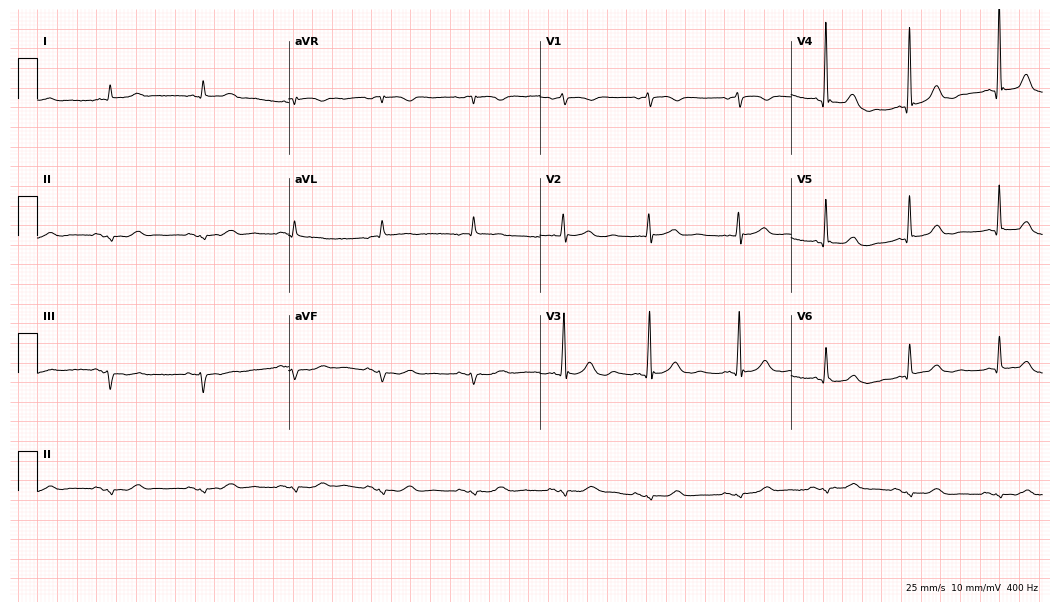
12-lead ECG (10.2-second recording at 400 Hz) from a man, 75 years old. Screened for six findings — first-degree AV block, right bundle branch block (RBBB), left bundle branch block (LBBB), sinus bradycardia, atrial fibrillation (AF), sinus tachycardia — none is recorded. Only these six findings were labelled.